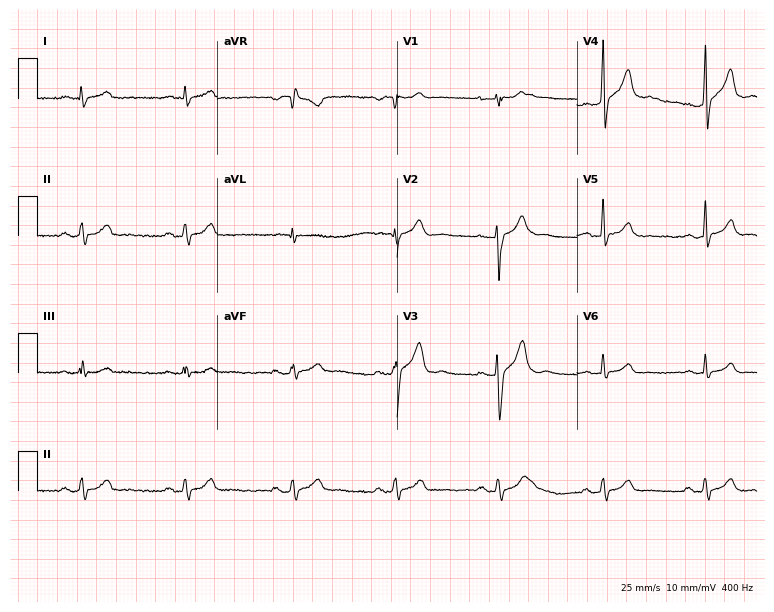
12-lead ECG from a male, 34 years old. No first-degree AV block, right bundle branch block, left bundle branch block, sinus bradycardia, atrial fibrillation or sinus tachycardia recorded for this tracing. Only these six findings were labelled.